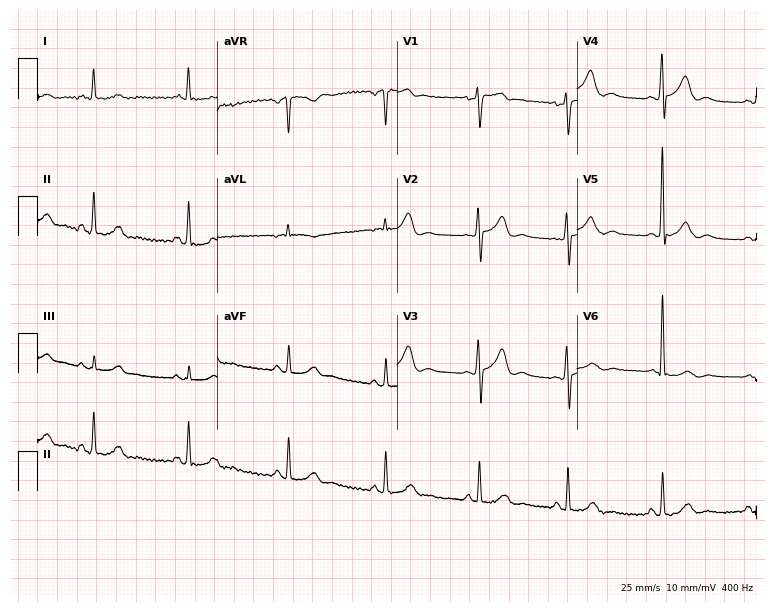
Resting 12-lead electrocardiogram (7.3-second recording at 400 Hz). Patient: a man, 56 years old. None of these six findings is recorded: first-degree AV block, right bundle branch block, left bundle branch block, sinus bradycardia, atrial fibrillation, sinus tachycardia.